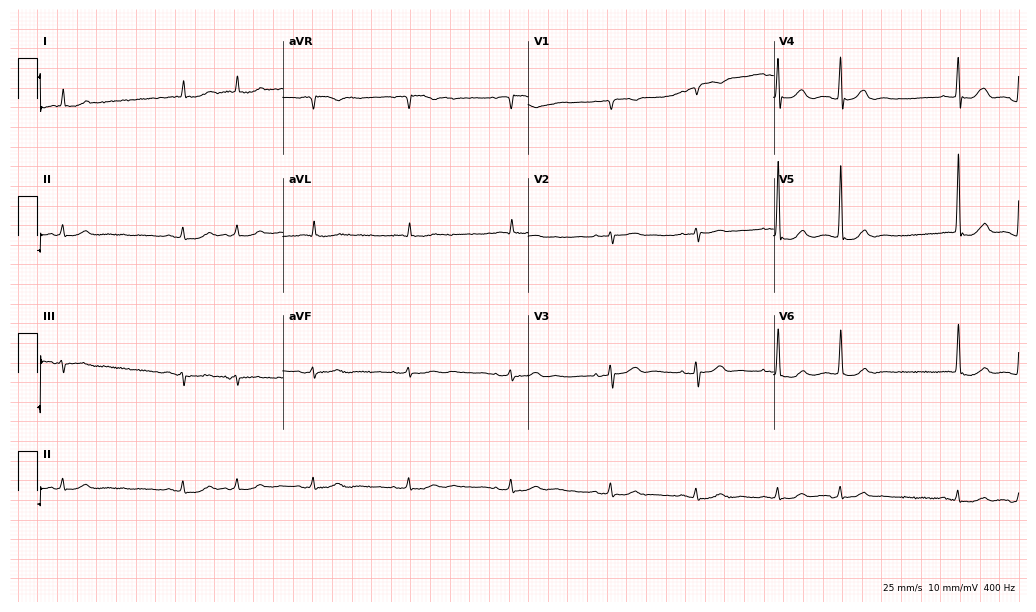
Standard 12-lead ECG recorded from a male patient, 85 years old (10-second recording at 400 Hz). None of these six findings is recorded: first-degree AV block, right bundle branch block, left bundle branch block, sinus bradycardia, atrial fibrillation, sinus tachycardia. Only these six findings were labelled.